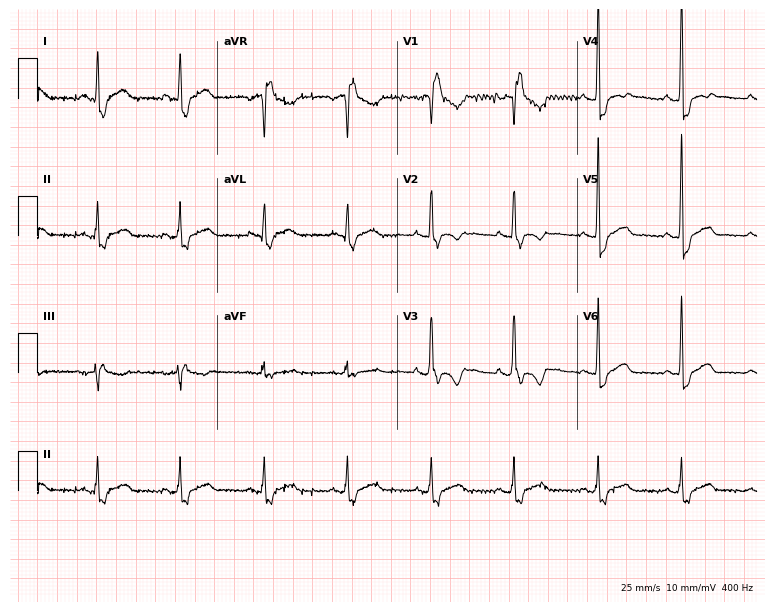
Electrocardiogram, a 41-year-old man. Interpretation includes right bundle branch block (RBBB).